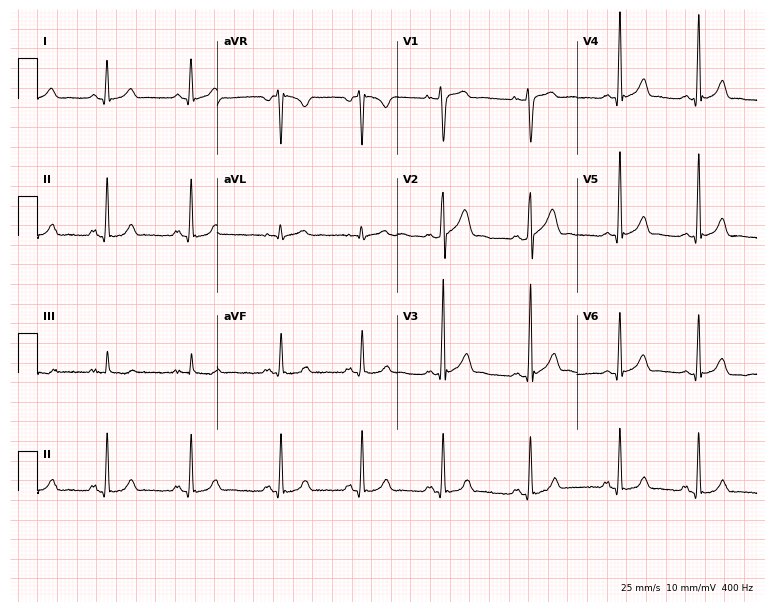
12-lead ECG from a male patient, 25 years old (7.3-second recording at 400 Hz). No first-degree AV block, right bundle branch block, left bundle branch block, sinus bradycardia, atrial fibrillation or sinus tachycardia recorded for this tracing.